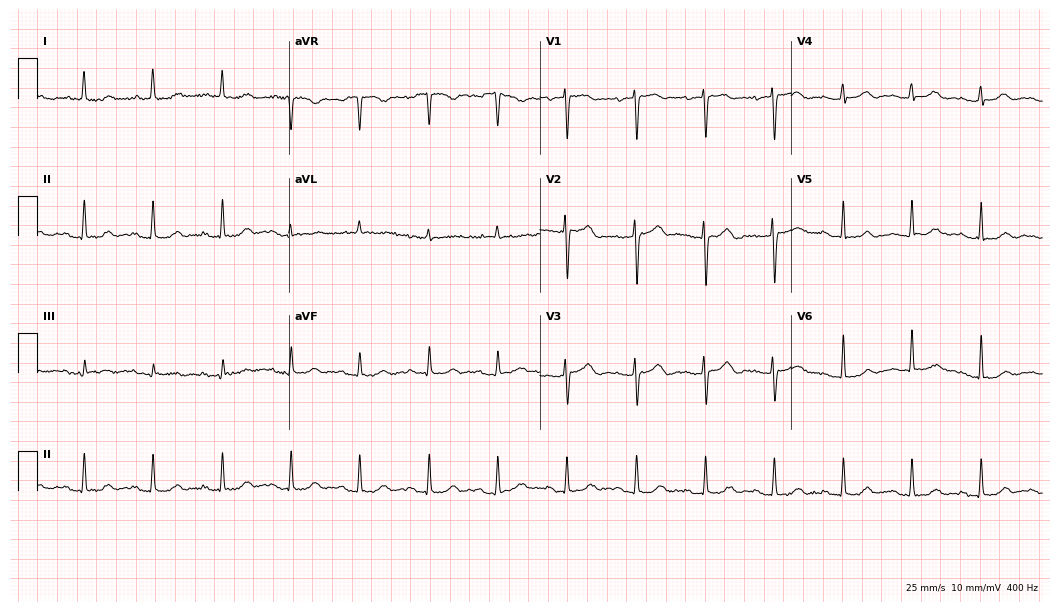
12-lead ECG (10.2-second recording at 400 Hz) from an 84-year-old female patient. Labelled as a normal ECG.